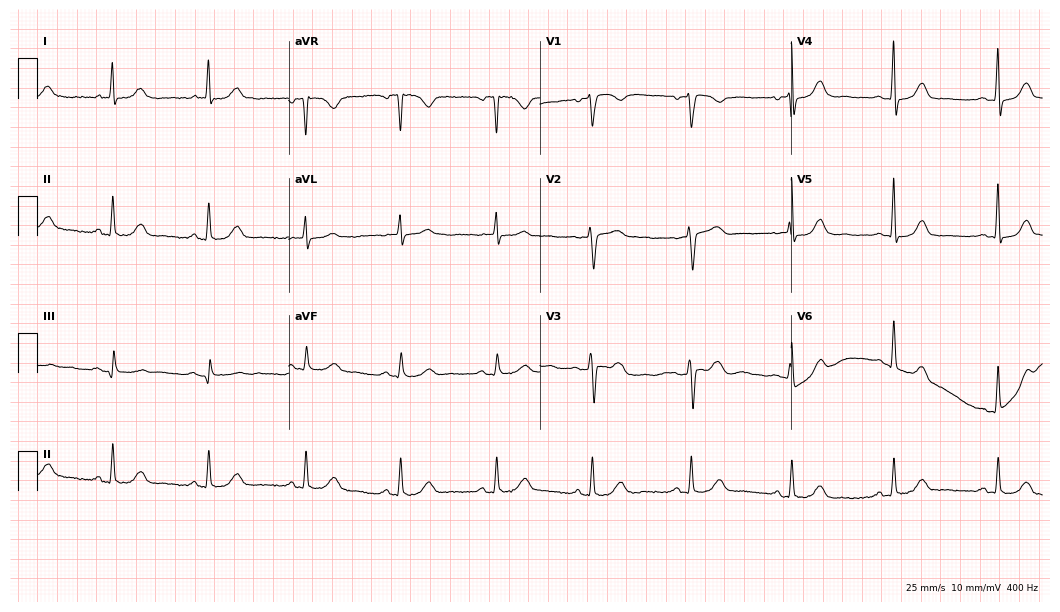
Resting 12-lead electrocardiogram (10.2-second recording at 400 Hz). Patient: a woman, 73 years old. None of these six findings is recorded: first-degree AV block, right bundle branch block, left bundle branch block, sinus bradycardia, atrial fibrillation, sinus tachycardia. Findings outside these six are not listed.